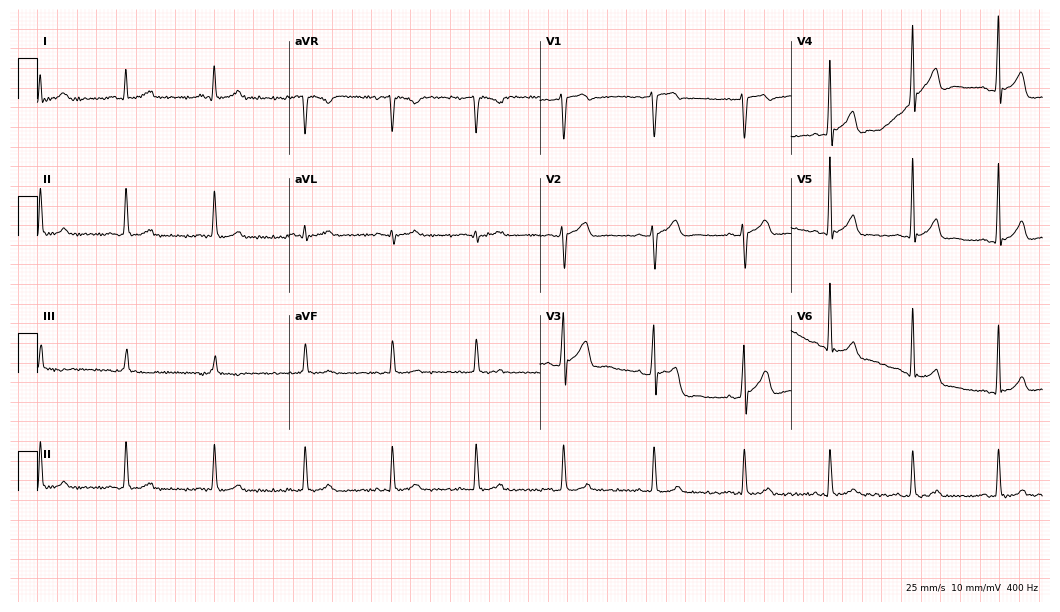
Standard 12-lead ECG recorded from a 36-year-old man (10.2-second recording at 400 Hz). None of these six findings is recorded: first-degree AV block, right bundle branch block, left bundle branch block, sinus bradycardia, atrial fibrillation, sinus tachycardia. Findings outside these six are not listed.